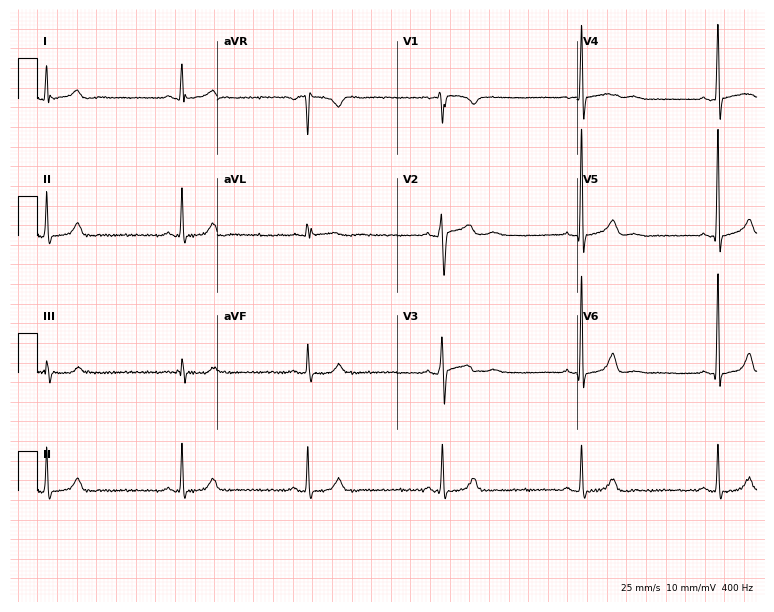
Standard 12-lead ECG recorded from a male patient, 30 years old. The tracing shows sinus bradycardia (a sinus rate of 50 beats per minute or less).